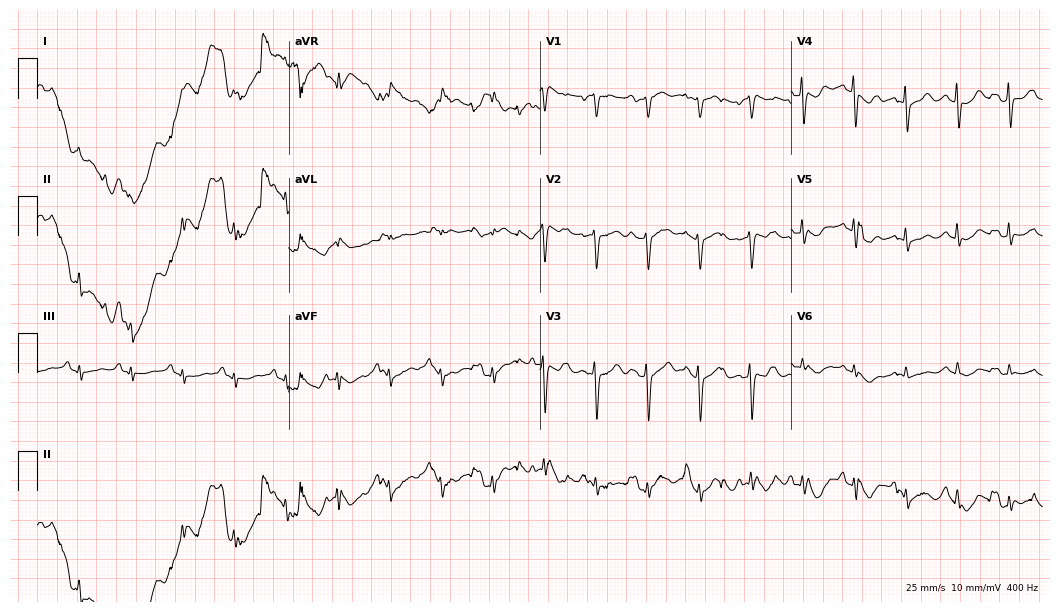
Electrocardiogram (10.2-second recording at 400 Hz), a male patient, 66 years old. Of the six screened findings (first-degree AV block, right bundle branch block, left bundle branch block, sinus bradycardia, atrial fibrillation, sinus tachycardia), none is recorded.